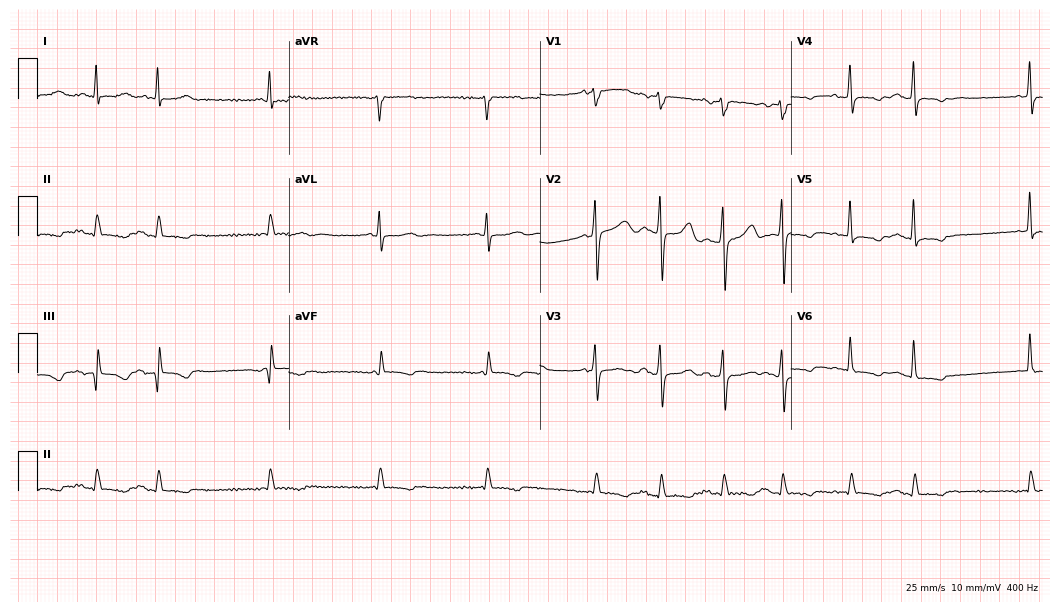
Electrocardiogram, a male patient, 79 years old. Of the six screened findings (first-degree AV block, right bundle branch block, left bundle branch block, sinus bradycardia, atrial fibrillation, sinus tachycardia), none is recorded. Other findings, if any, are not listed.